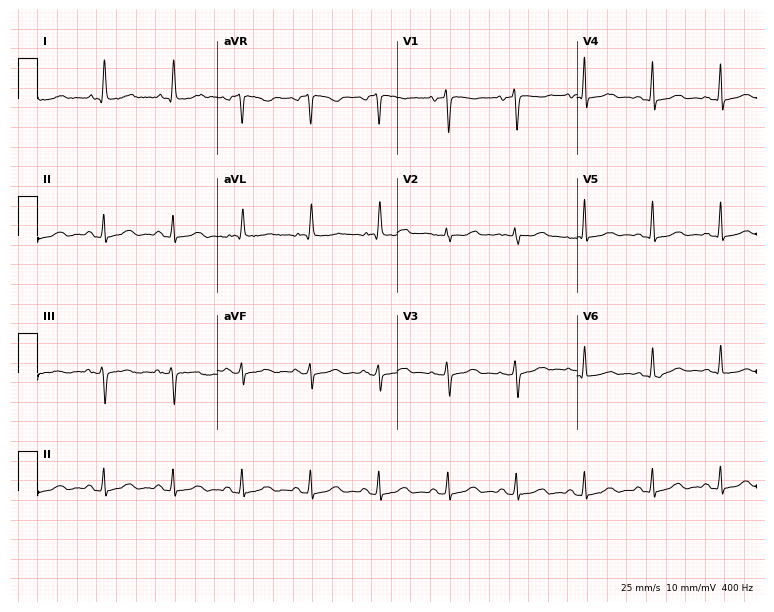
Resting 12-lead electrocardiogram. Patient: a female, 69 years old. None of these six findings is recorded: first-degree AV block, right bundle branch block, left bundle branch block, sinus bradycardia, atrial fibrillation, sinus tachycardia.